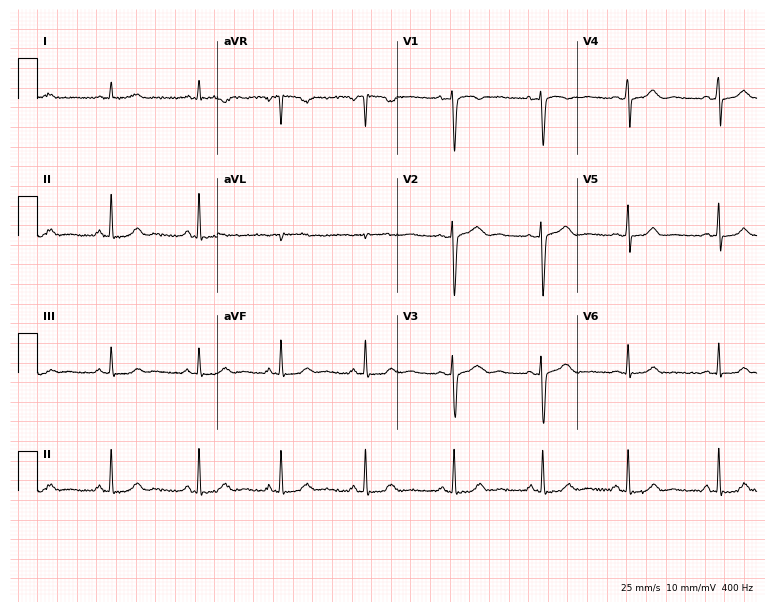
Standard 12-lead ECG recorded from a woman, 44 years old (7.3-second recording at 400 Hz). Read as a normal ECG.